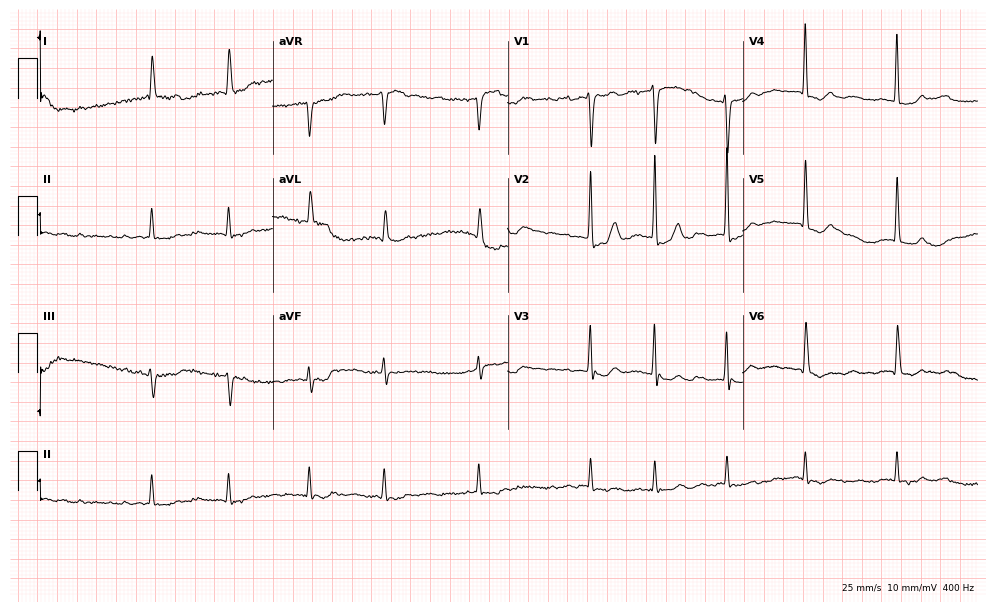
ECG (9.6-second recording at 400 Hz) — a female patient, 83 years old. Findings include atrial fibrillation.